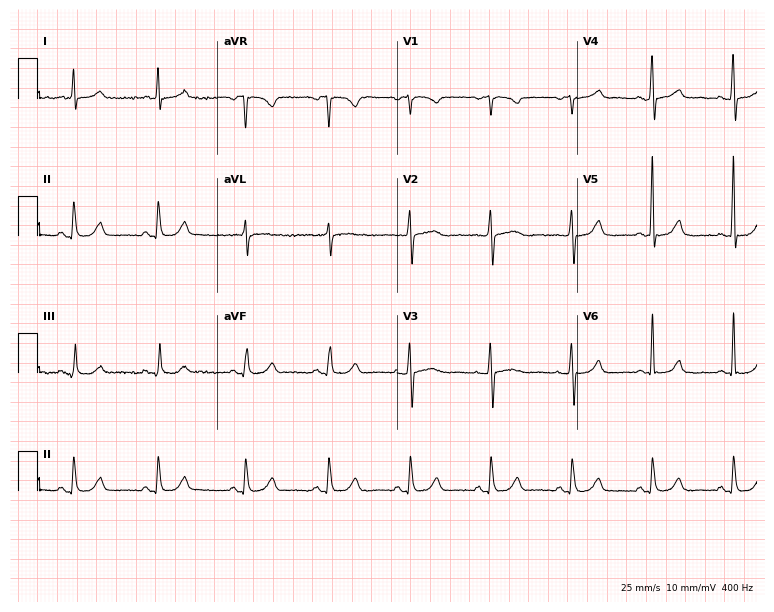
ECG — a woman, 58 years old. Labelled as a normal ECG.